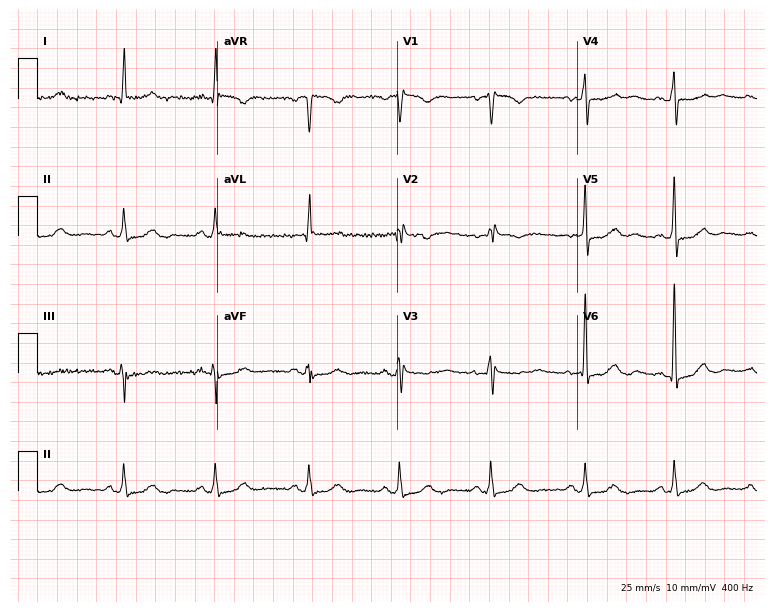
ECG (7.3-second recording at 400 Hz) — a 74-year-old male patient. Screened for six findings — first-degree AV block, right bundle branch block (RBBB), left bundle branch block (LBBB), sinus bradycardia, atrial fibrillation (AF), sinus tachycardia — none is recorded.